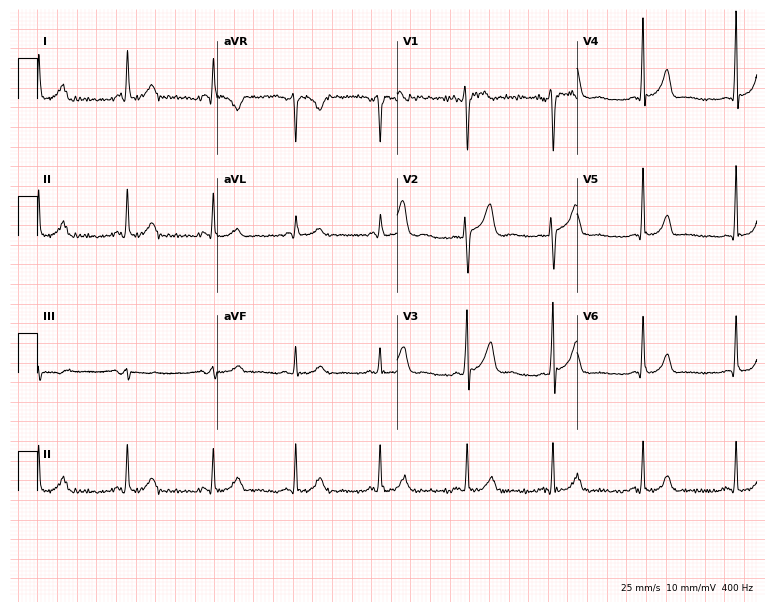
ECG — a male, 43 years old. Screened for six findings — first-degree AV block, right bundle branch block (RBBB), left bundle branch block (LBBB), sinus bradycardia, atrial fibrillation (AF), sinus tachycardia — none is recorded.